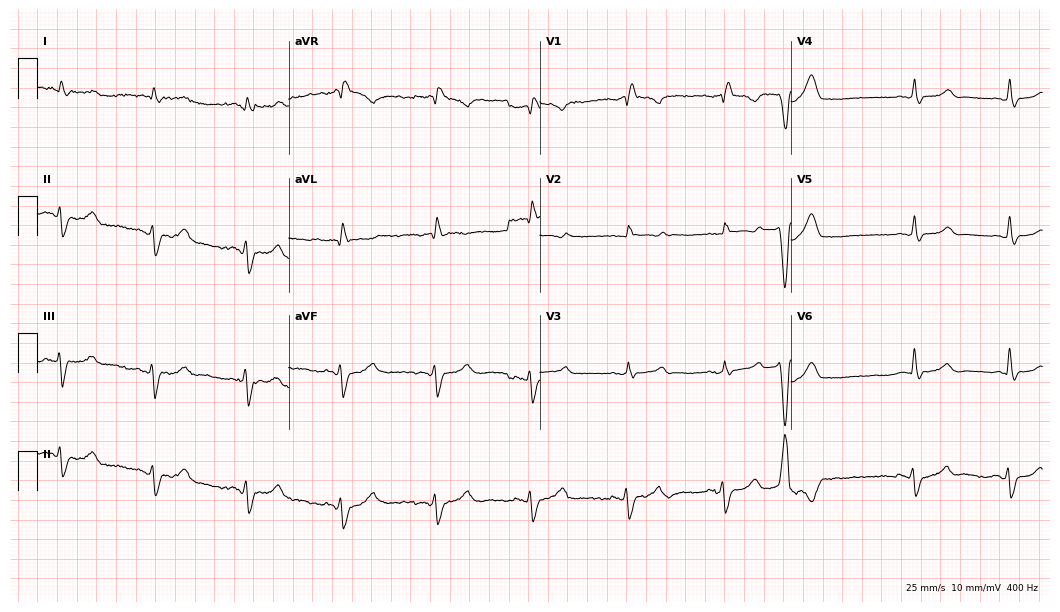
Electrocardiogram (10.2-second recording at 400 Hz), a 60-year-old male. Interpretation includes right bundle branch block.